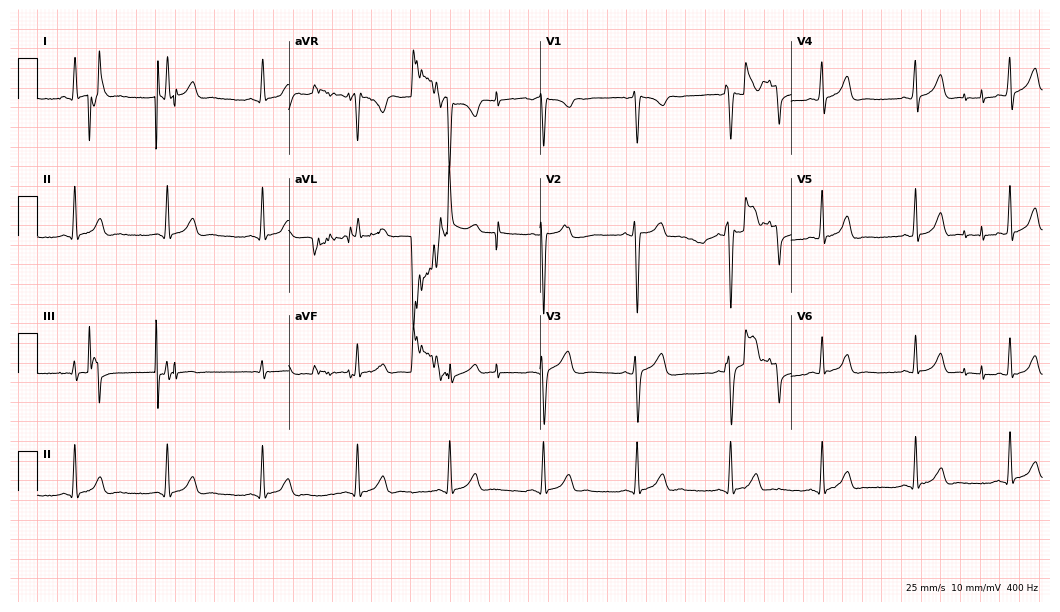
12-lead ECG (10.2-second recording at 400 Hz) from a man, 28 years old. Labelled as a normal ECG.